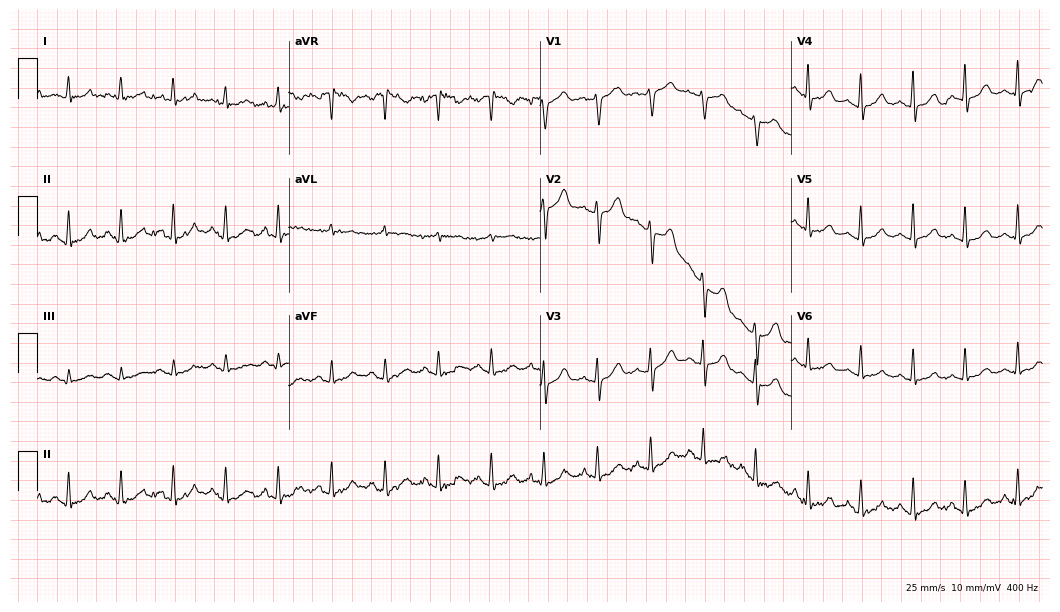
ECG (10.2-second recording at 400 Hz) — a female patient, 62 years old. Findings include sinus tachycardia (a sinus rate of 100 beats per minute or more).